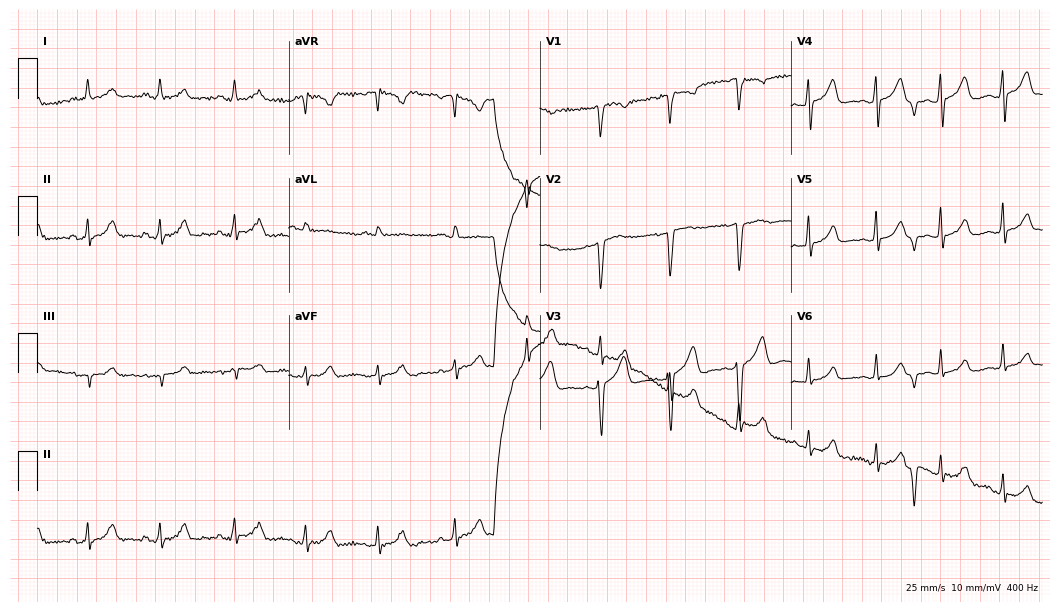
Resting 12-lead electrocardiogram (10.2-second recording at 400 Hz). Patient: a woman, 46 years old. Read as a normal ECG.